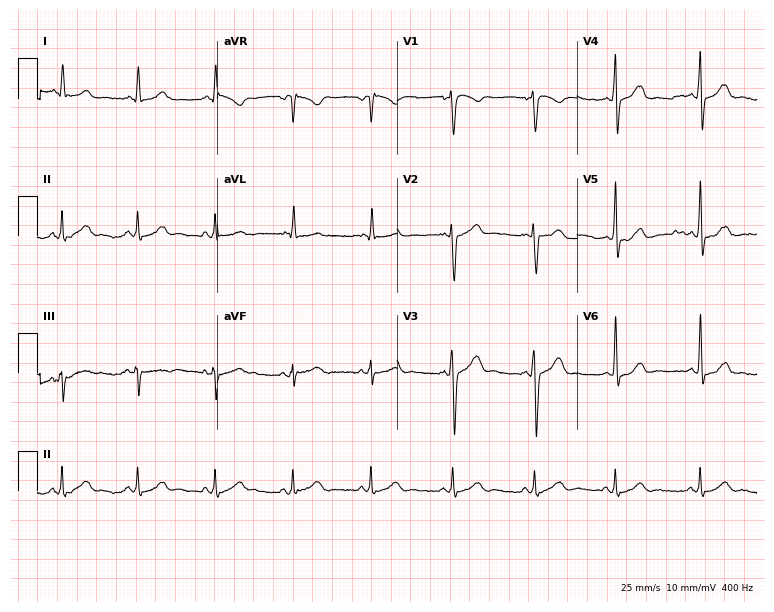
Standard 12-lead ECG recorded from a male, 25 years old (7.3-second recording at 400 Hz). Read as a normal ECG.